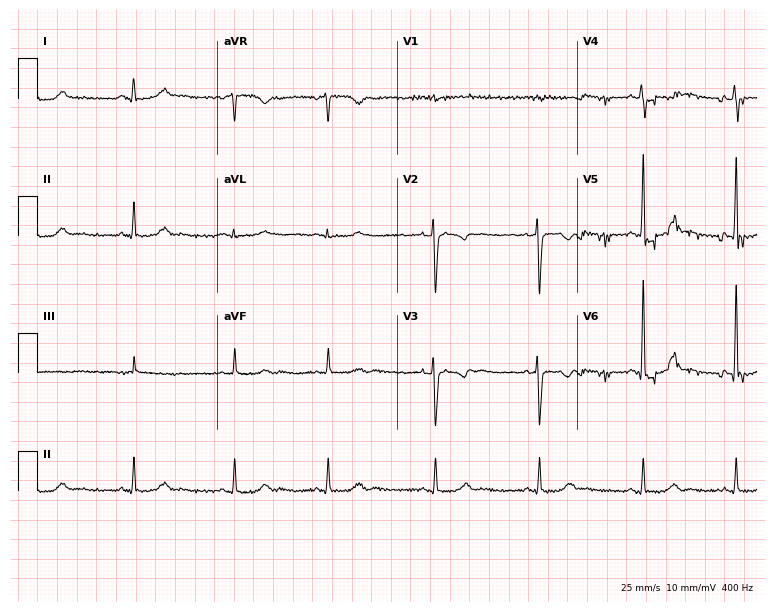
Electrocardiogram, a 27-year-old woman. Of the six screened findings (first-degree AV block, right bundle branch block, left bundle branch block, sinus bradycardia, atrial fibrillation, sinus tachycardia), none is recorded. Only these six findings were labelled.